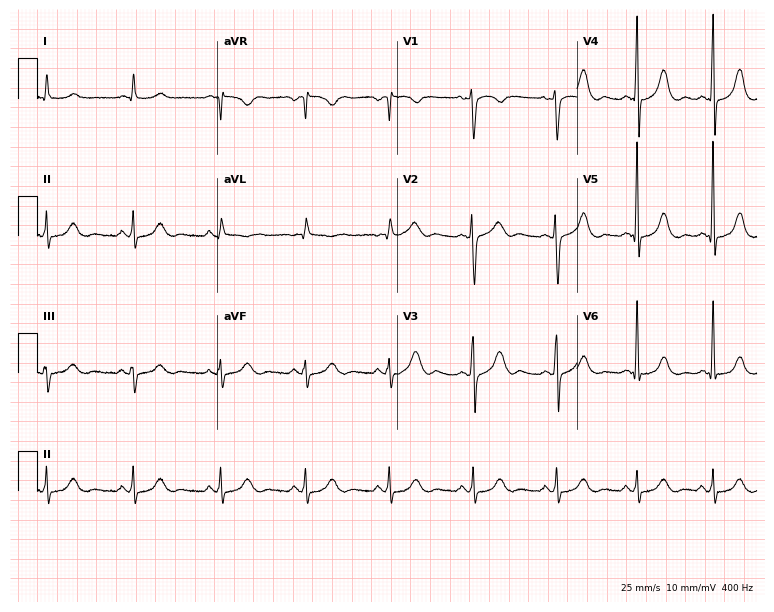
12-lead ECG from a female patient, 55 years old (7.3-second recording at 400 Hz). No first-degree AV block, right bundle branch block (RBBB), left bundle branch block (LBBB), sinus bradycardia, atrial fibrillation (AF) or sinus tachycardia recorded for this tracing. Other findings, if any, are not listed.